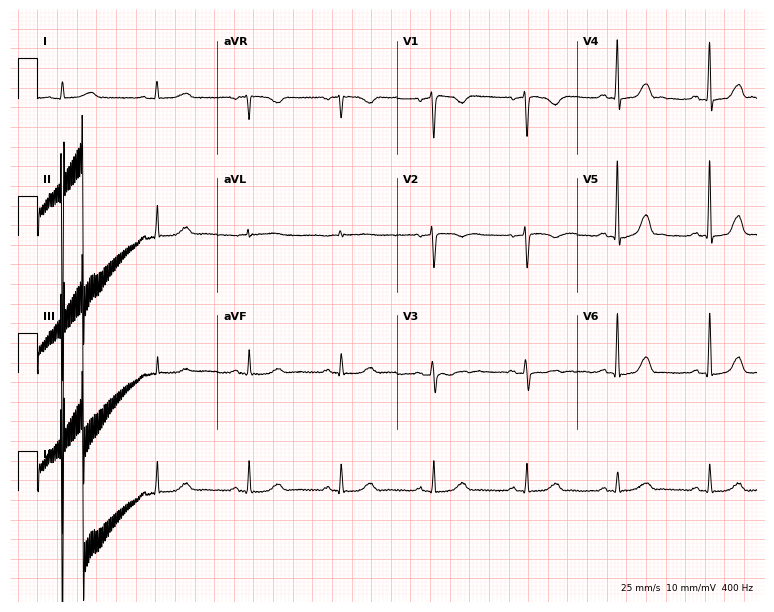
ECG (7.3-second recording at 400 Hz) — a 65-year-old female patient. Labelled as a normal ECG.